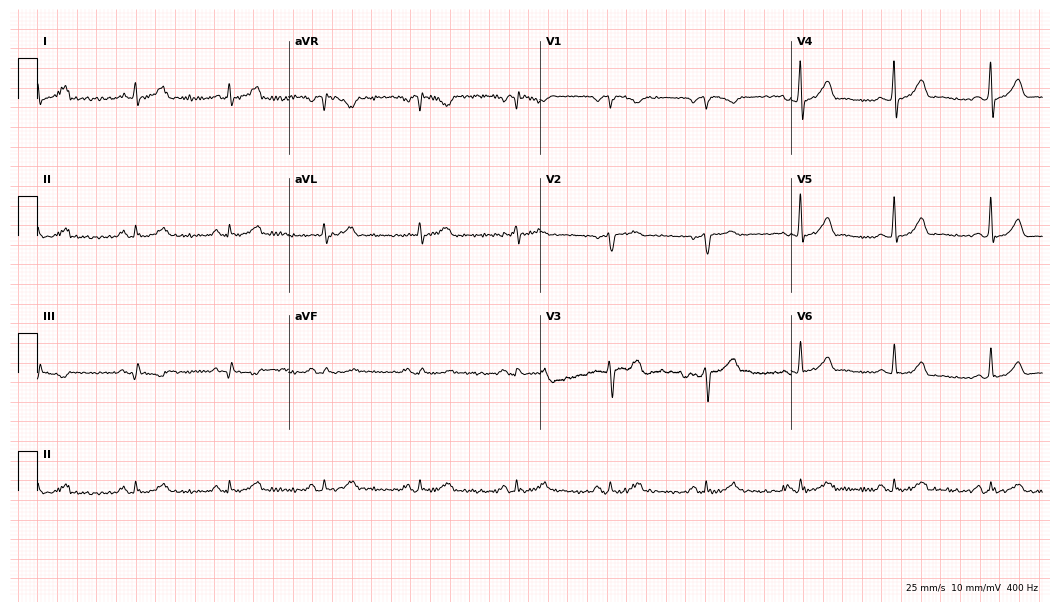
12-lead ECG from a male, 42 years old (10.2-second recording at 400 Hz). Recorded interpretation: within normal limits.